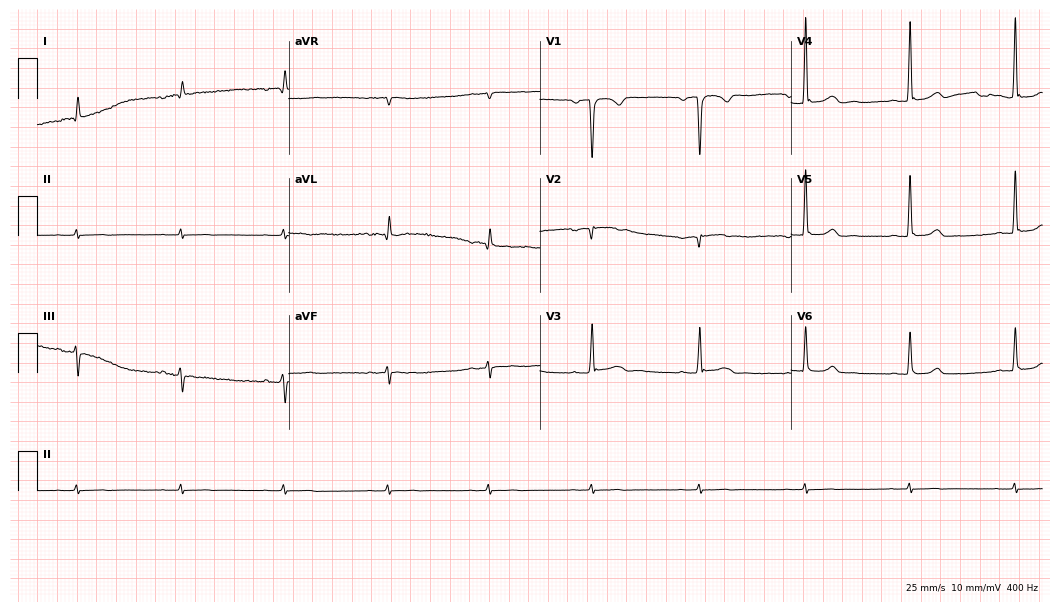
Standard 12-lead ECG recorded from a female, 69 years old. None of these six findings is recorded: first-degree AV block, right bundle branch block, left bundle branch block, sinus bradycardia, atrial fibrillation, sinus tachycardia.